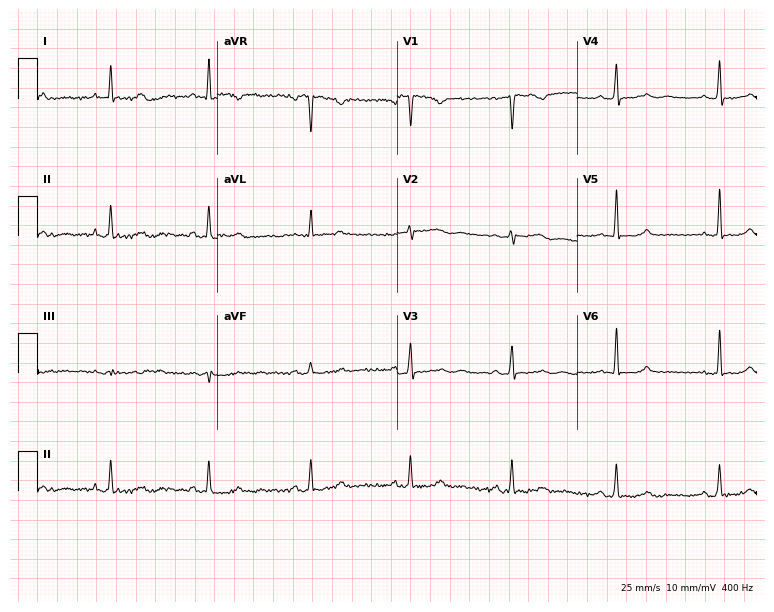
12-lead ECG from a 47-year-old female patient. Screened for six findings — first-degree AV block, right bundle branch block, left bundle branch block, sinus bradycardia, atrial fibrillation, sinus tachycardia — none is recorded.